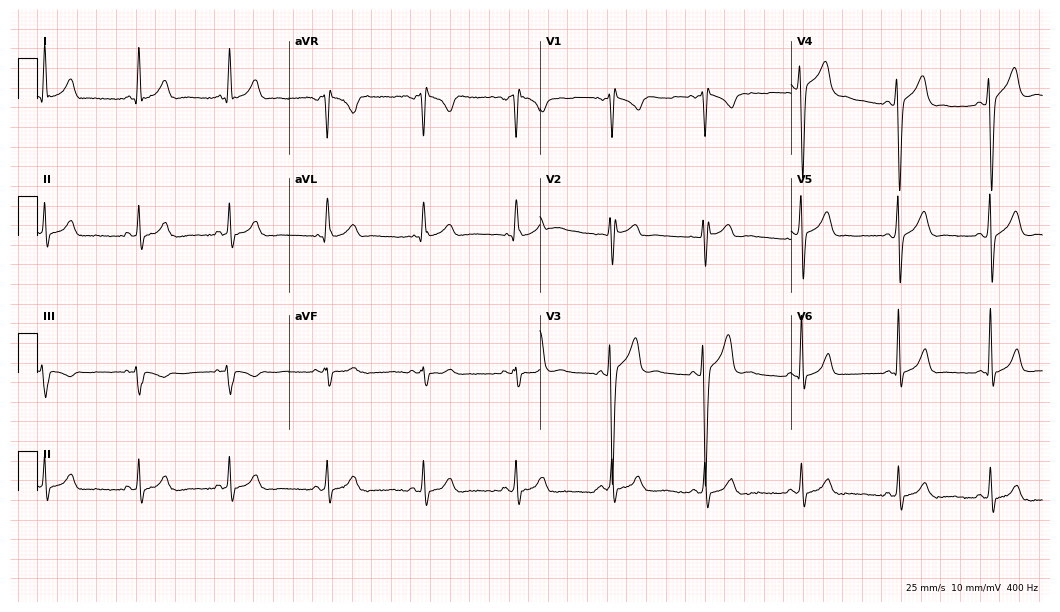
Standard 12-lead ECG recorded from a 24-year-old man (10.2-second recording at 400 Hz). Read as a normal ECG.